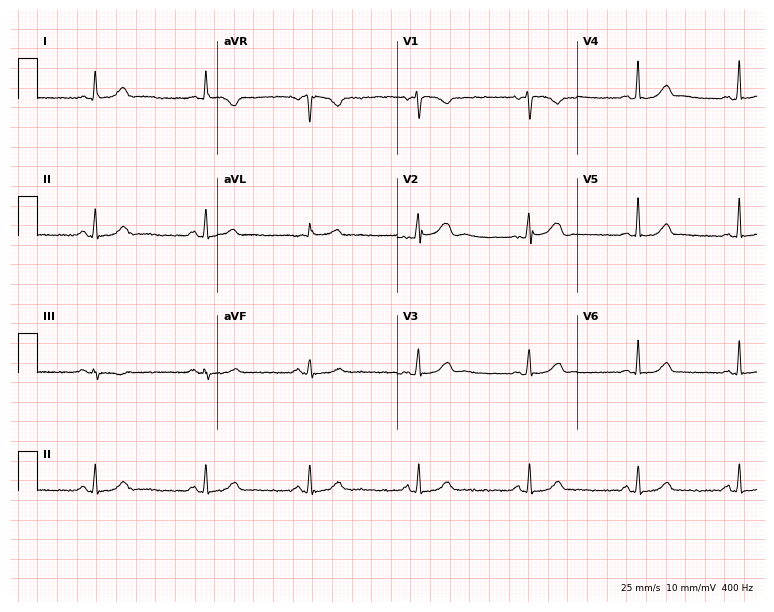
Electrocardiogram, a 40-year-old female. Overall reading on record: normal ECG.